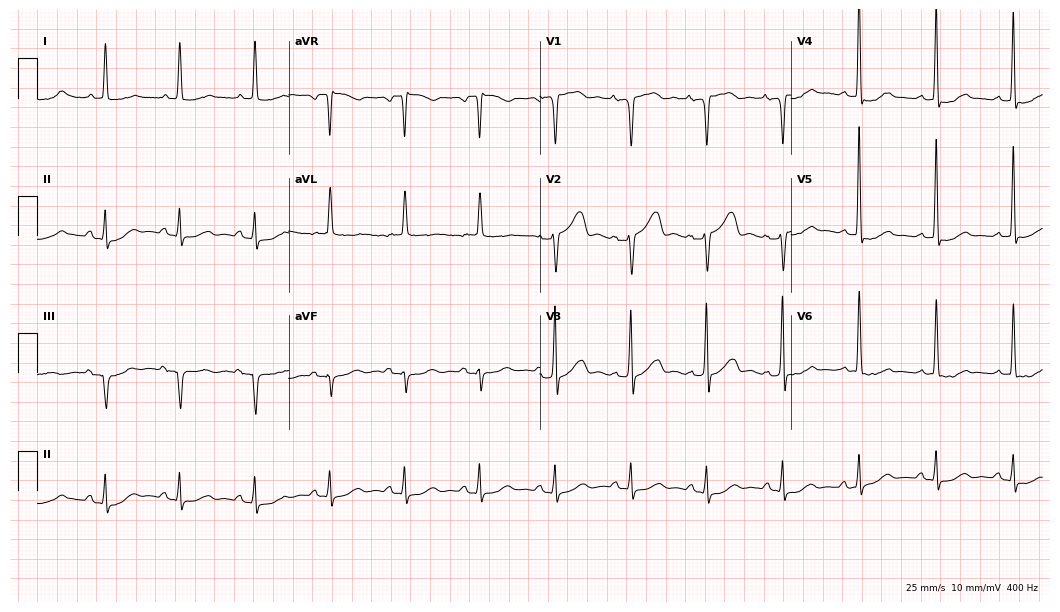
ECG — a 75-year-old female. Screened for six findings — first-degree AV block, right bundle branch block (RBBB), left bundle branch block (LBBB), sinus bradycardia, atrial fibrillation (AF), sinus tachycardia — none is recorded.